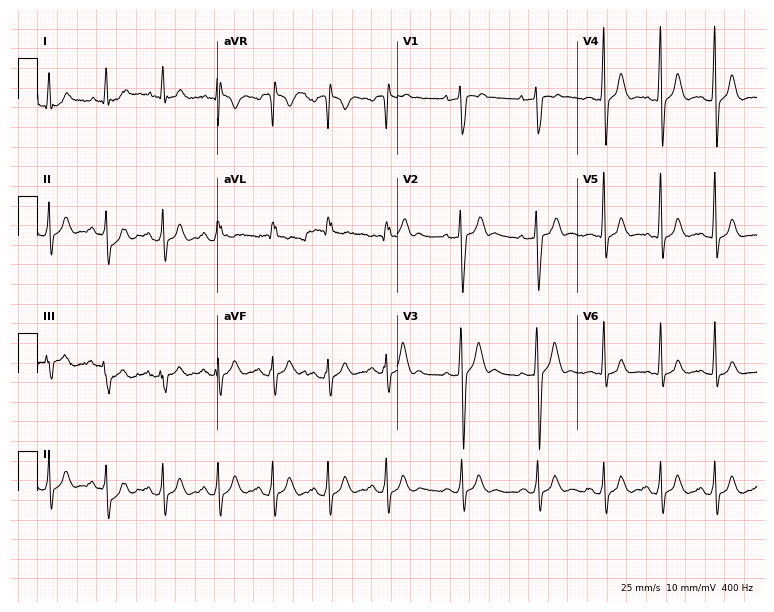
ECG (7.3-second recording at 400 Hz) — a man, 24 years old. Screened for six findings — first-degree AV block, right bundle branch block, left bundle branch block, sinus bradycardia, atrial fibrillation, sinus tachycardia — none is recorded.